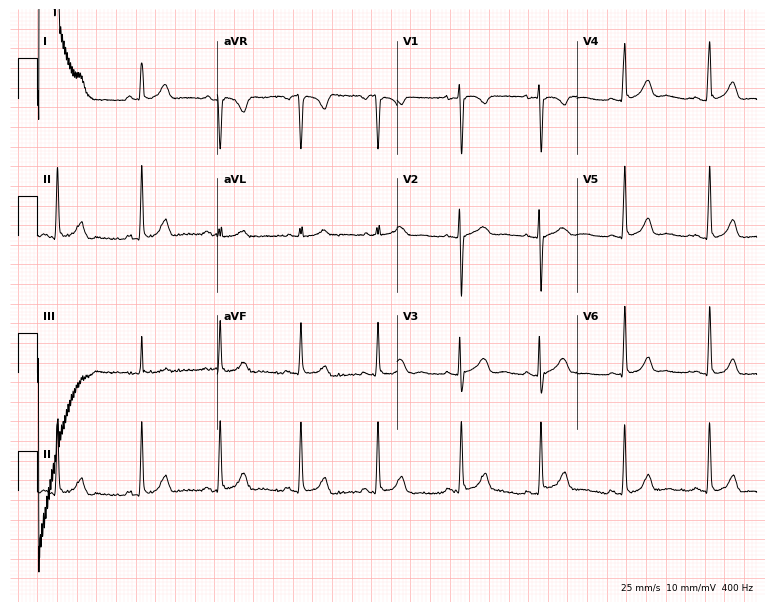
Standard 12-lead ECG recorded from a female patient, 25 years old. None of these six findings is recorded: first-degree AV block, right bundle branch block, left bundle branch block, sinus bradycardia, atrial fibrillation, sinus tachycardia.